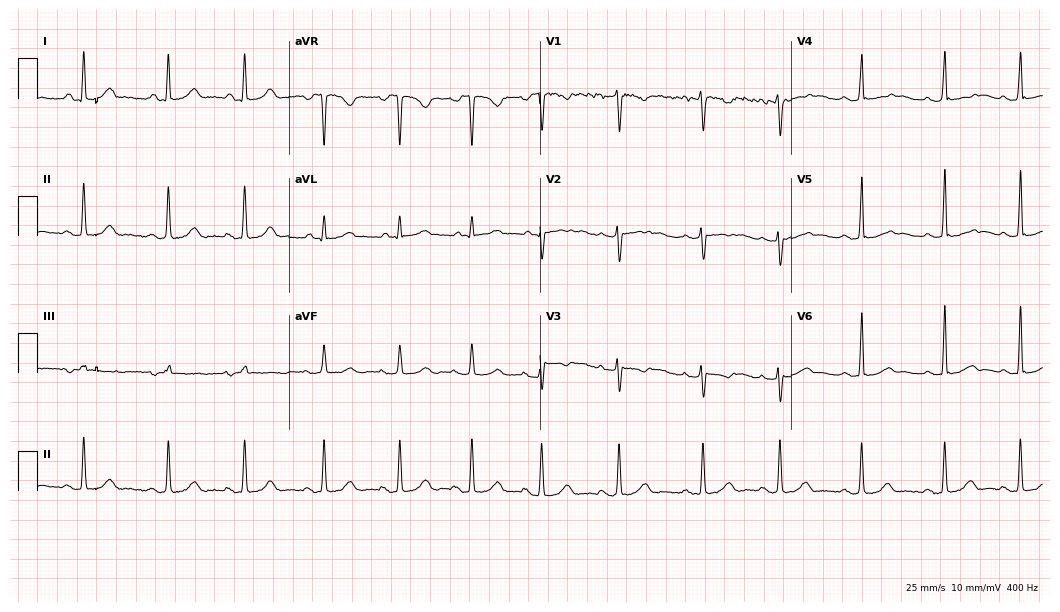
Standard 12-lead ECG recorded from a woman, 20 years old (10.2-second recording at 400 Hz). Read as a normal ECG.